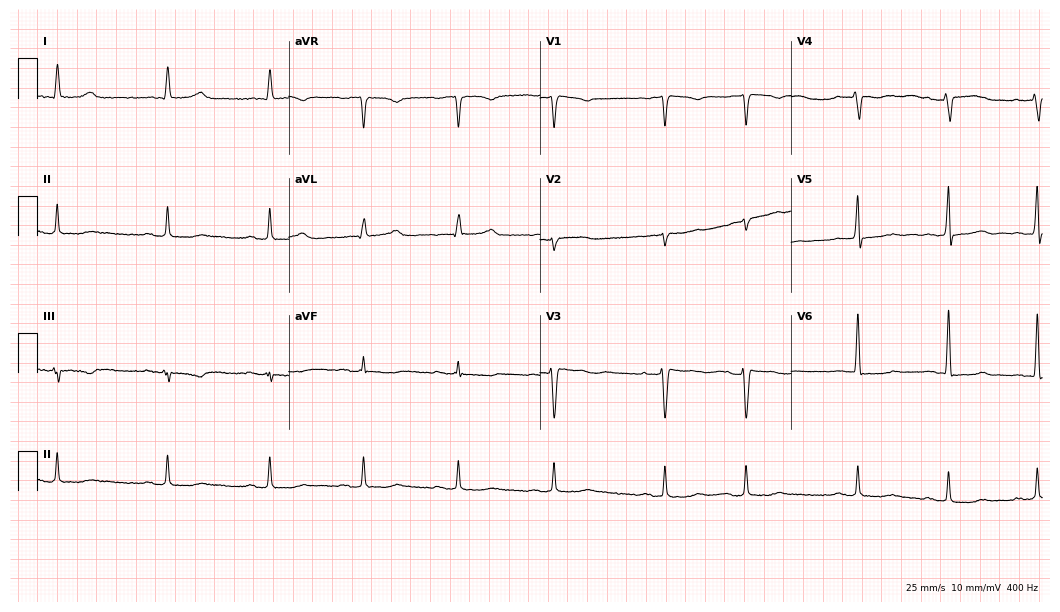
12-lead ECG from a 68-year-old female. No first-degree AV block, right bundle branch block, left bundle branch block, sinus bradycardia, atrial fibrillation or sinus tachycardia recorded for this tracing.